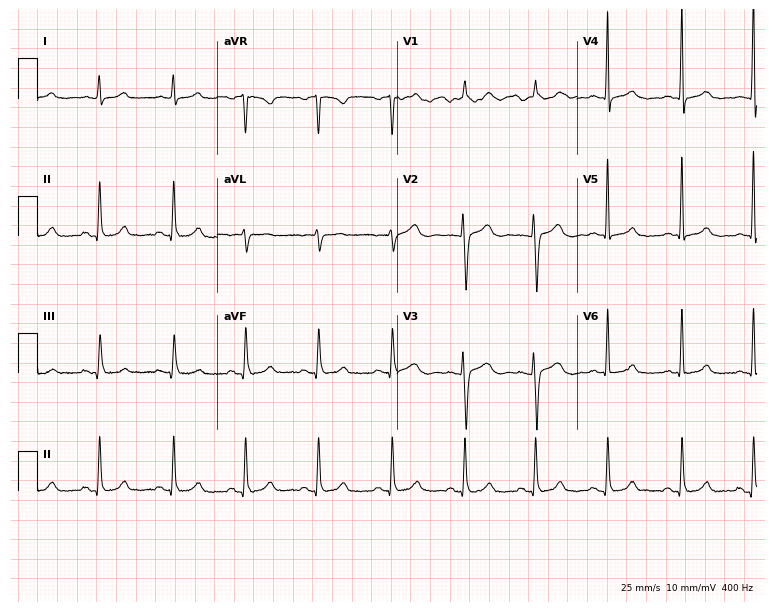
Resting 12-lead electrocardiogram. Patient: a woman, 36 years old. Read as a normal ECG.